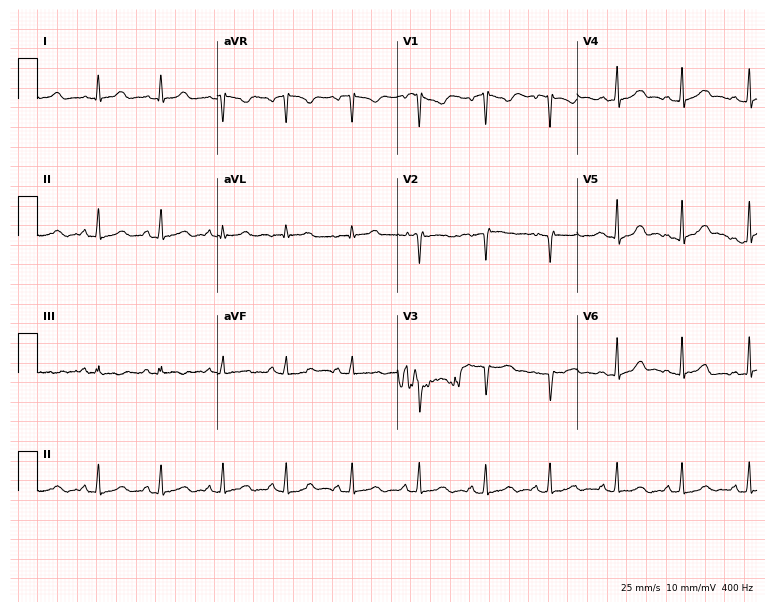
Resting 12-lead electrocardiogram (7.3-second recording at 400 Hz). Patient: a female, 27 years old. None of these six findings is recorded: first-degree AV block, right bundle branch block, left bundle branch block, sinus bradycardia, atrial fibrillation, sinus tachycardia. Other findings, if any, are not listed.